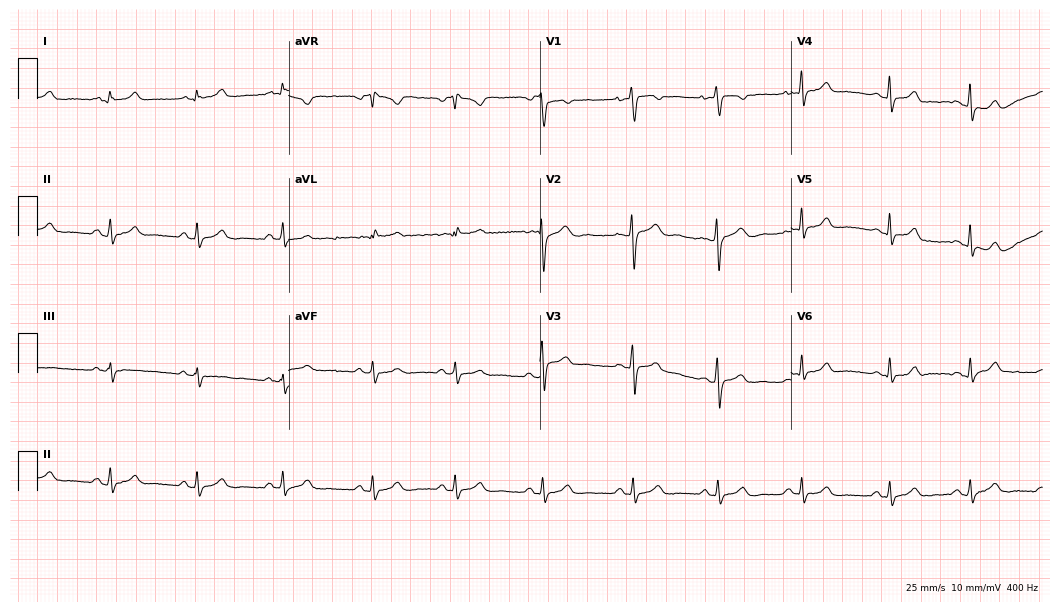
12-lead ECG from a 21-year-old female. Recorded interpretation: within normal limits.